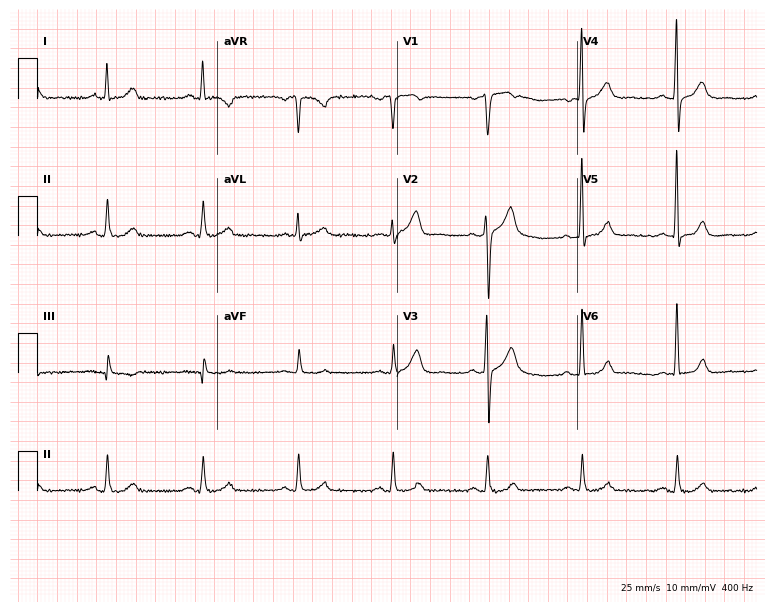
12-lead ECG (7.3-second recording at 400 Hz) from a 60-year-old male. Screened for six findings — first-degree AV block, right bundle branch block, left bundle branch block, sinus bradycardia, atrial fibrillation, sinus tachycardia — none is recorded.